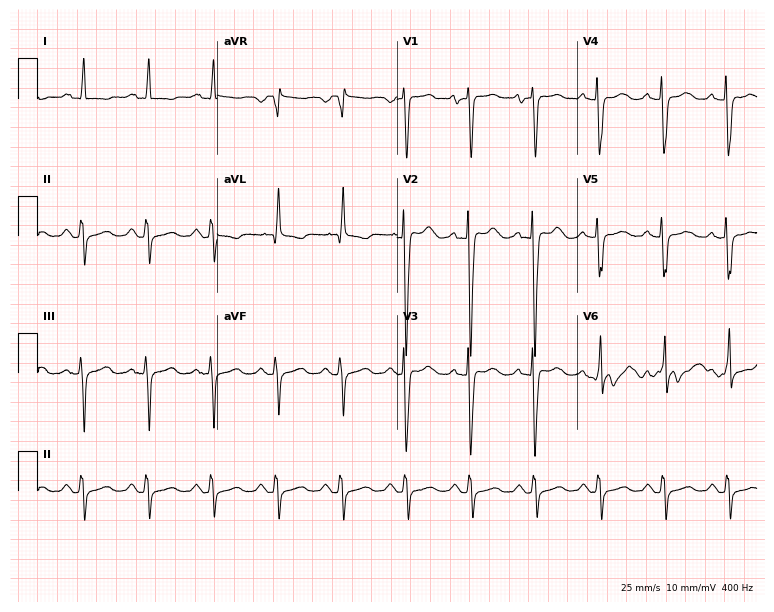
12-lead ECG from a 57-year-old man (7.3-second recording at 400 Hz). No first-degree AV block, right bundle branch block (RBBB), left bundle branch block (LBBB), sinus bradycardia, atrial fibrillation (AF) or sinus tachycardia recorded for this tracing. Only these six findings were labelled.